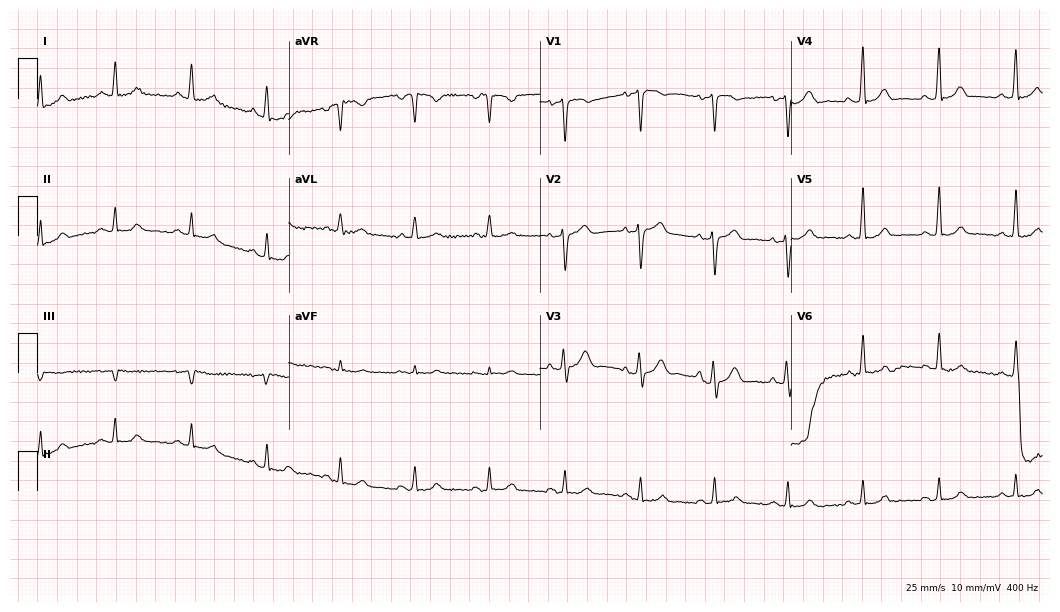
Resting 12-lead electrocardiogram. Patient: a male, 61 years old. Read as a normal ECG.